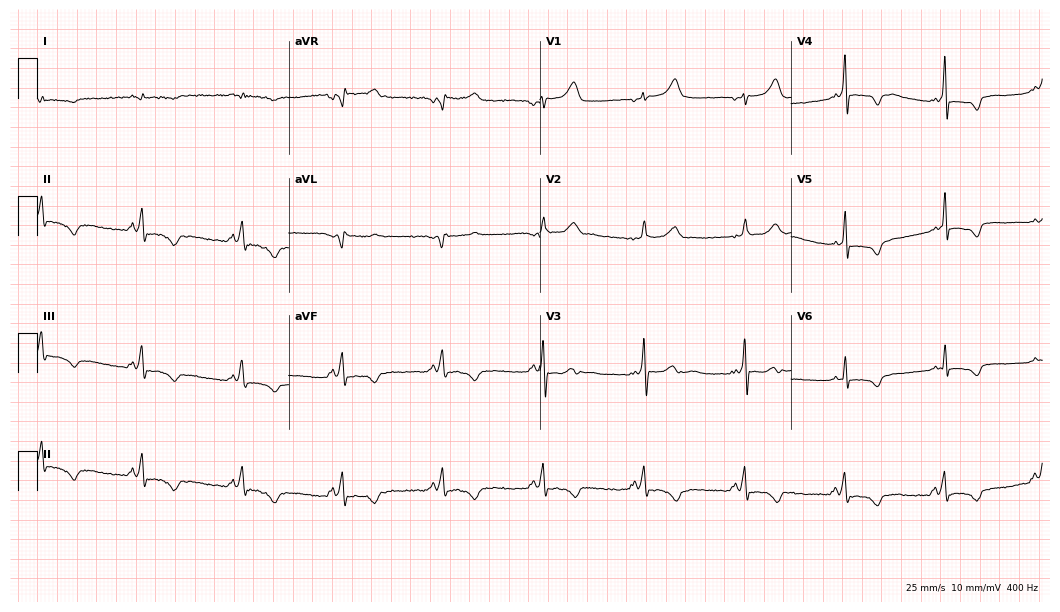
Standard 12-lead ECG recorded from a 58-year-old man. None of these six findings is recorded: first-degree AV block, right bundle branch block (RBBB), left bundle branch block (LBBB), sinus bradycardia, atrial fibrillation (AF), sinus tachycardia. Findings outside these six are not listed.